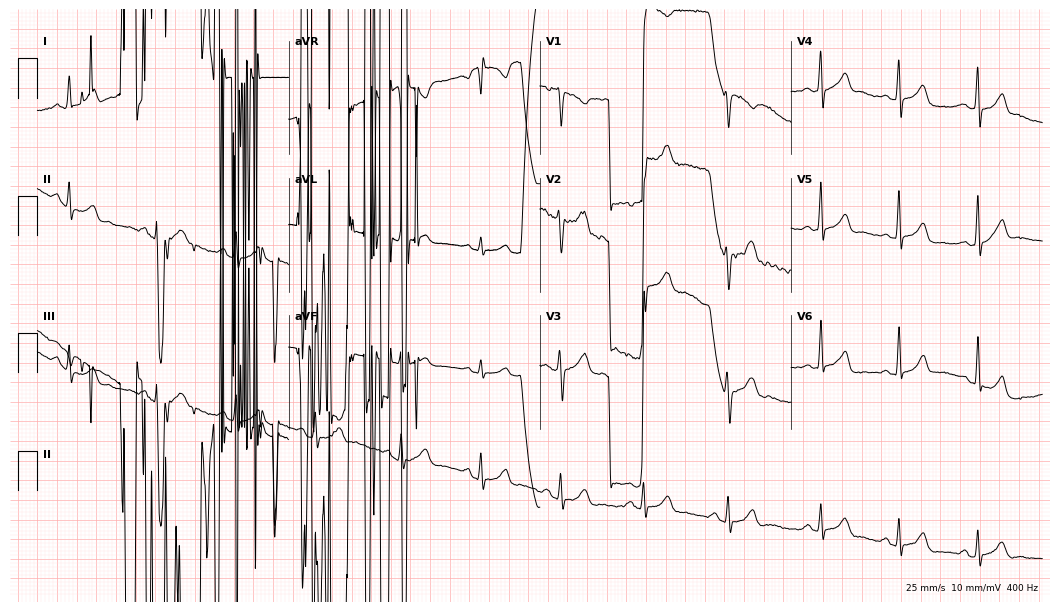
Resting 12-lead electrocardiogram. Patient: a 30-year-old female. None of these six findings is recorded: first-degree AV block, right bundle branch block, left bundle branch block, sinus bradycardia, atrial fibrillation, sinus tachycardia. Findings outside these six are not listed.